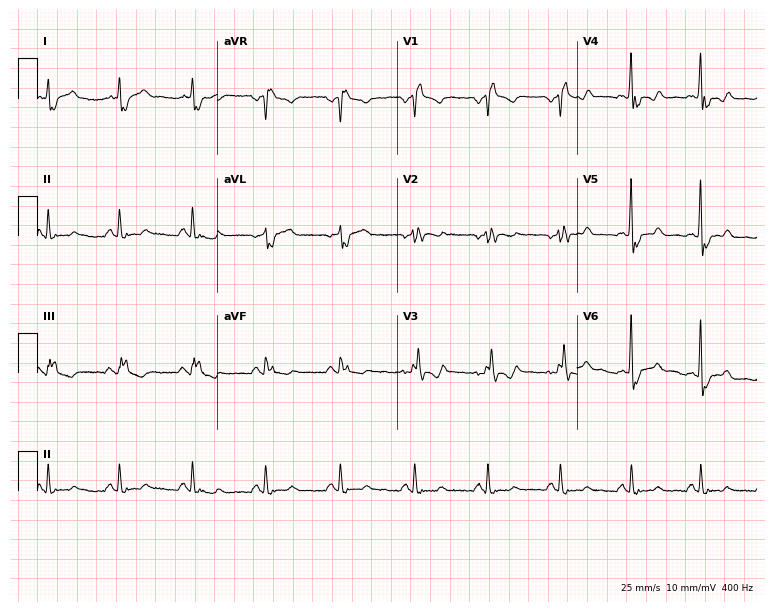
Electrocardiogram, a 59-year-old male. Of the six screened findings (first-degree AV block, right bundle branch block, left bundle branch block, sinus bradycardia, atrial fibrillation, sinus tachycardia), none is recorded.